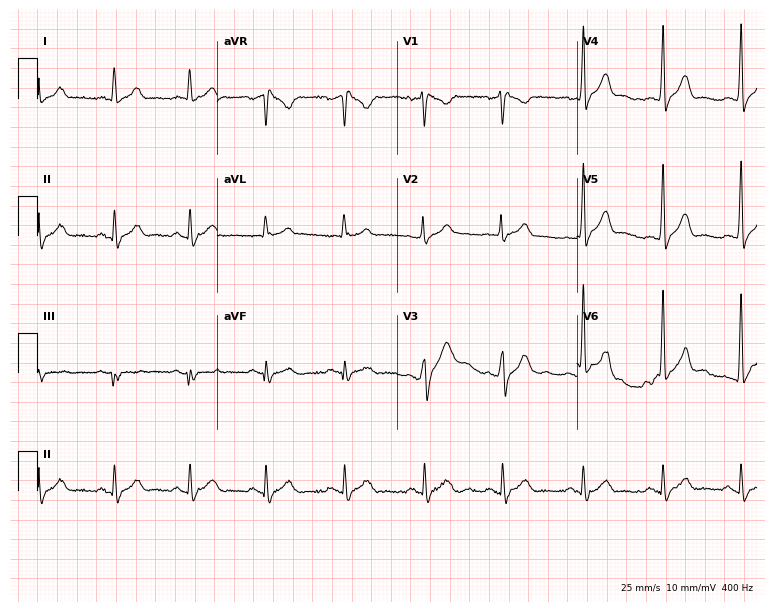
12-lead ECG from a man, 57 years old. Screened for six findings — first-degree AV block, right bundle branch block, left bundle branch block, sinus bradycardia, atrial fibrillation, sinus tachycardia — none is recorded.